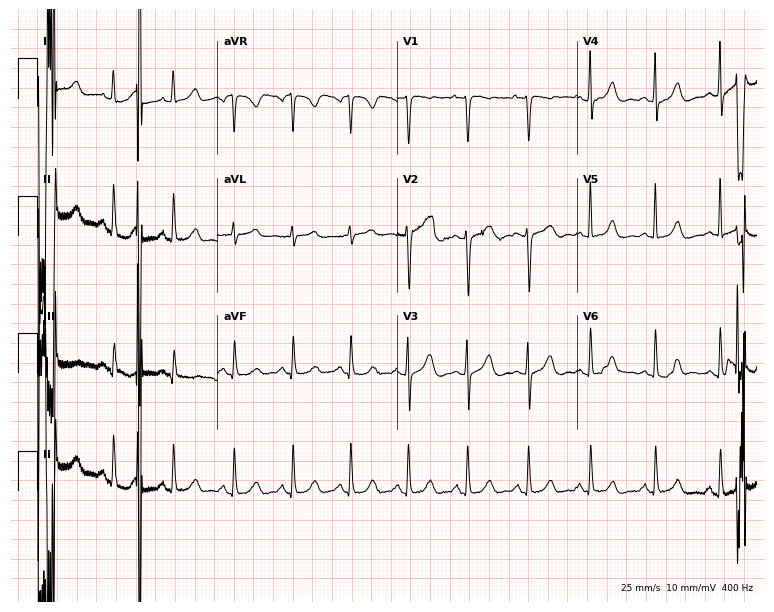
ECG — a 29-year-old female. Screened for six findings — first-degree AV block, right bundle branch block, left bundle branch block, sinus bradycardia, atrial fibrillation, sinus tachycardia — none is recorded. Findings outside these six are not listed.